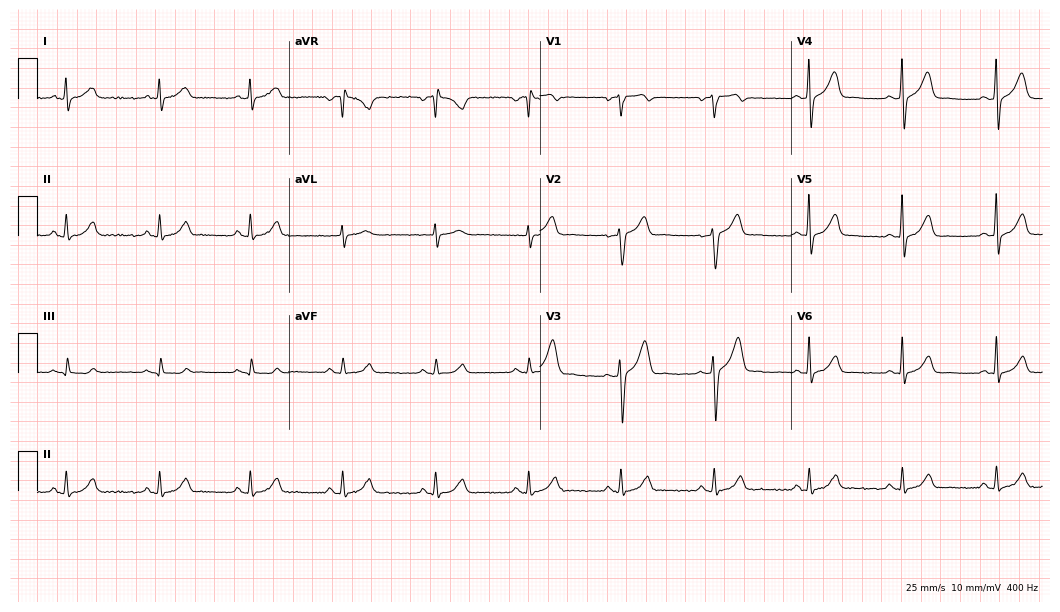
Electrocardiogram, a male, 43 years old. Of the six screened findings (first-degree AV block, right bundle branch block (RBBB), left bundle branch block (LBBB), sinus bradycardia, atrial fibrillation (AF), sinus tachycardia), none is recorded.